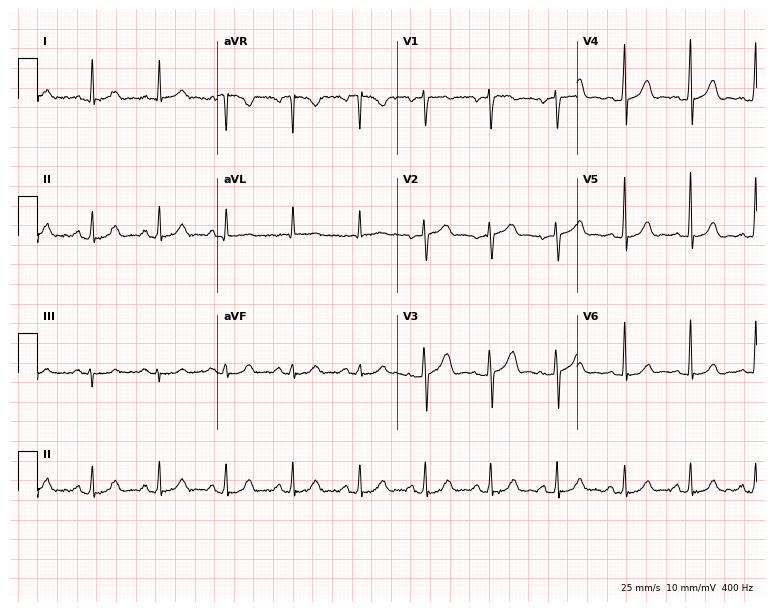
12-lead ECG from a 63-year-old woman (7.3-second recording at 400 Hz). No first-degree AV block, right bundle branch block, left bundle branch block, sinus bradycardia, atrial fibrillation or sinus tachycardia recorded for this tracing. Other findings, if any, are not listed.